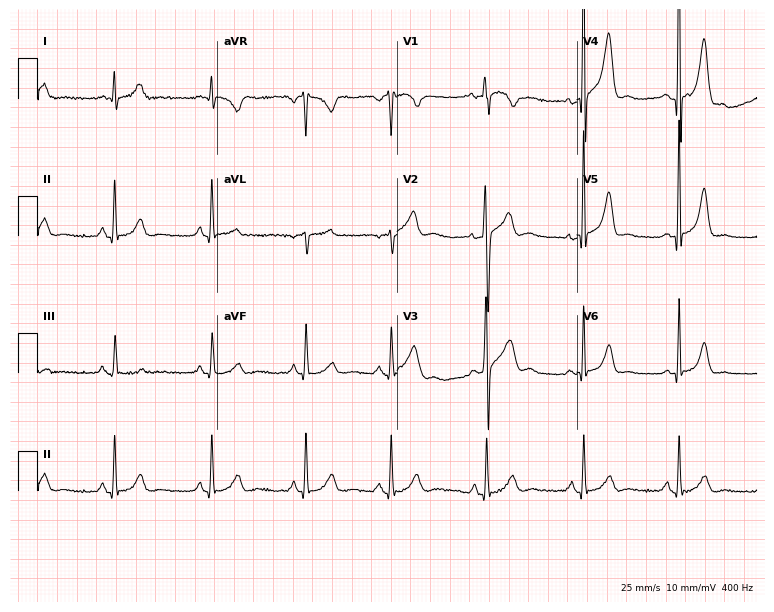
12-lead ECG from a 54-year-old male patient (7.3-second recording at 400 Hz). Recorded interpretation: within normal limits.